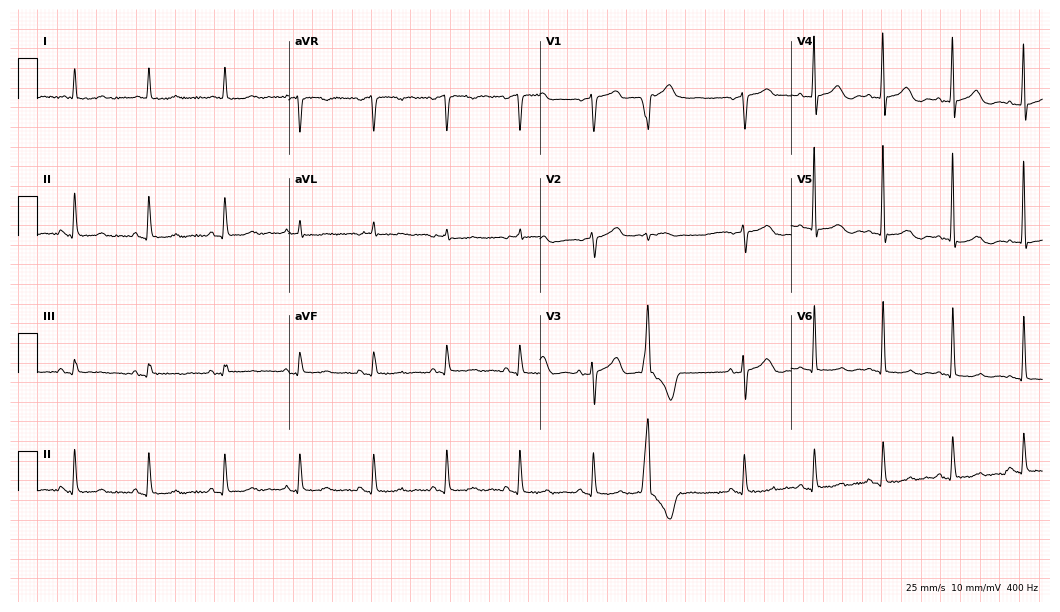
Standard 12-lead ECG recorded from a 72-year-old female patient (10.2-second recording at 400 Hz). Read as a normal ECG.